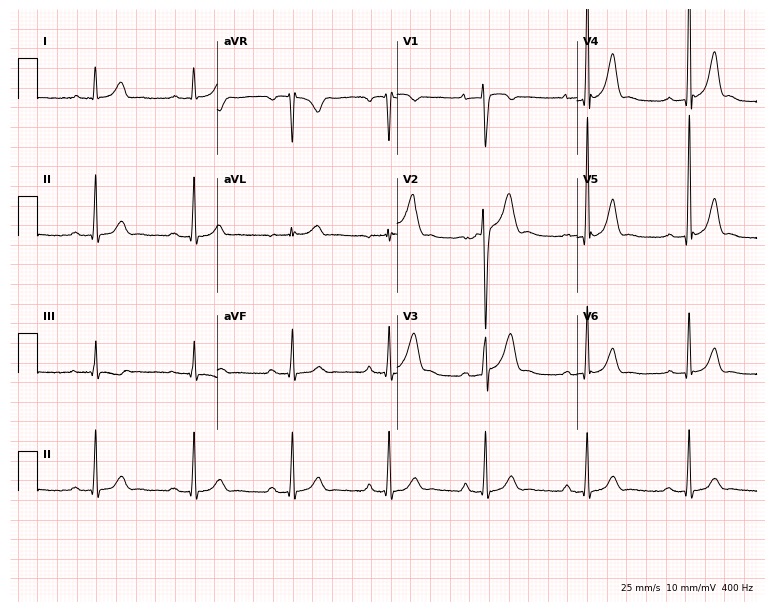
12-lead ECG from a 31-year-old male (7.3-second recording at 400 Hz). No first-degree AV block, right bundle branch block, left bundle branch block, sinus bradycardia, atrial fibrillation or sinus tachycardia recorded for this tracing. Other findings, if any, are not listed.